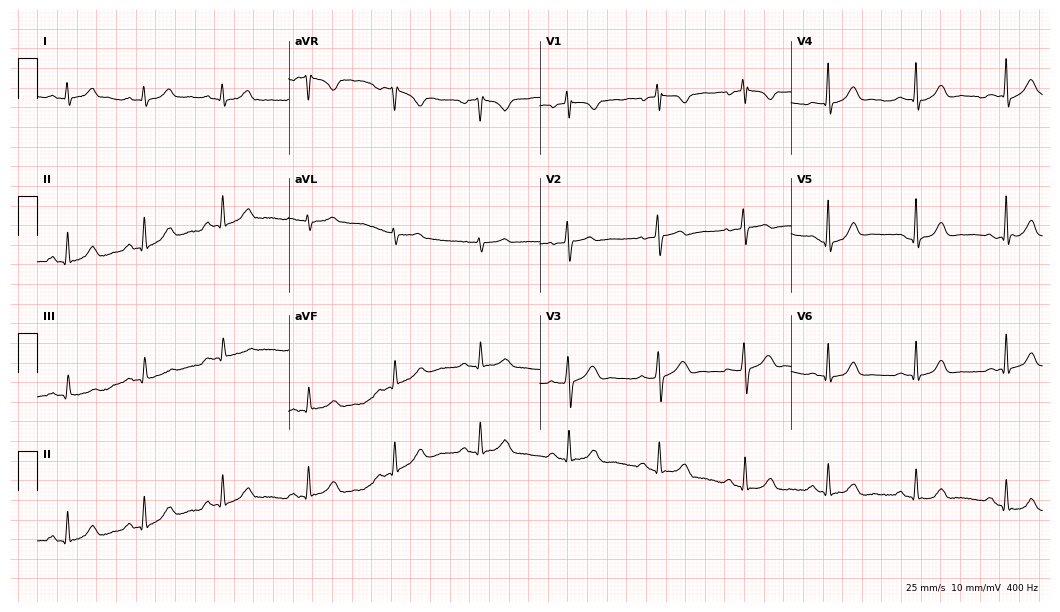
ECG — a 44-year-old woman. Screened for six findings — first-degree AV block, right bundle branch block, left bundle branch block, sinus bradycardia, atrial fibrillation, sinus tachycardia — none is recorded.